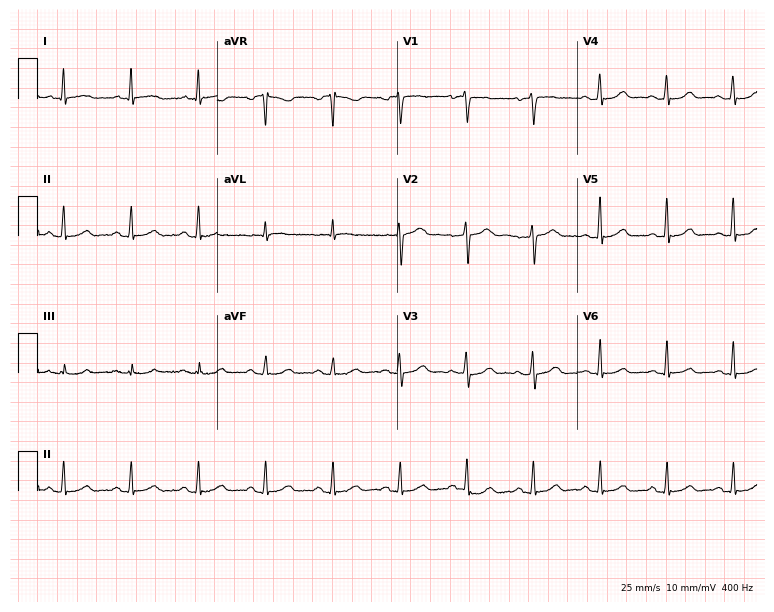
ECG — a 52-year-old female patient. Labelled as a normal ECG.